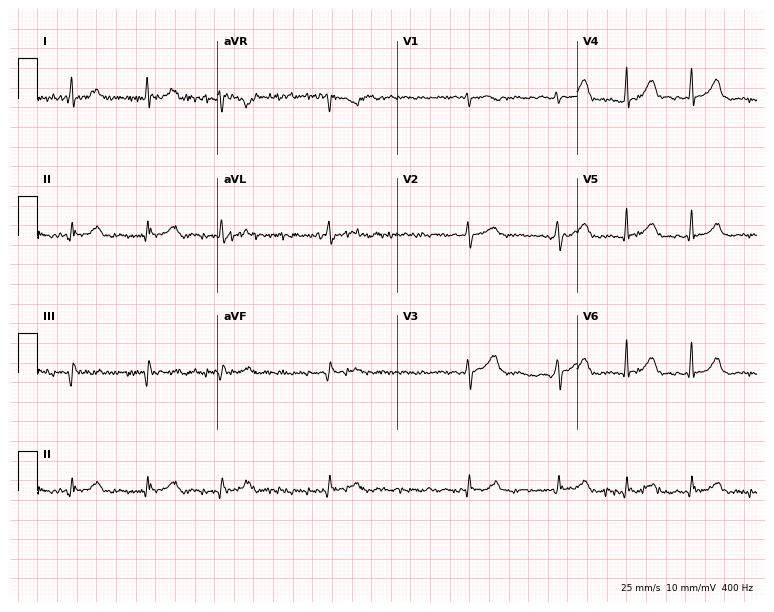
12-lead ECG from a male, 64 years old. Screened for six findings — first-degree AV block, right bundle branch block, left bundle branch block, sinus bradycardia, atrial fibrillation, sinus tachycardia — none is recorded. Other findings, if any, are not listed.